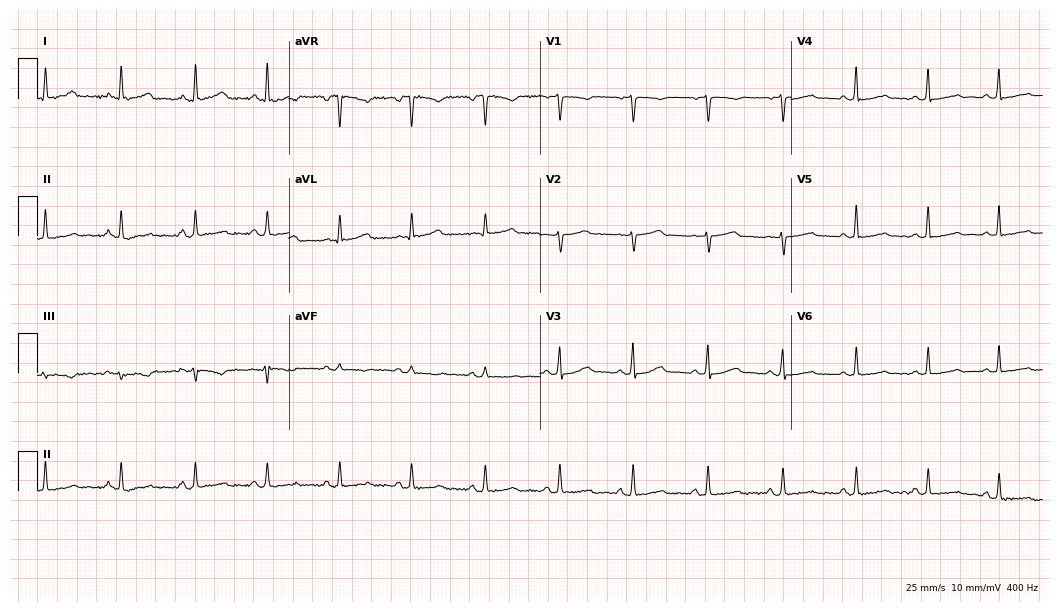
Electrocardiogram (10.2-second recording at 400 Hz), a 48-year-old female patient. Of the six screened findings (first-degree AV block, right bundle branch block, left bundle branch block, sinus bradycardia, atrial fibrillation, sinus tachycardia), none is recorded.